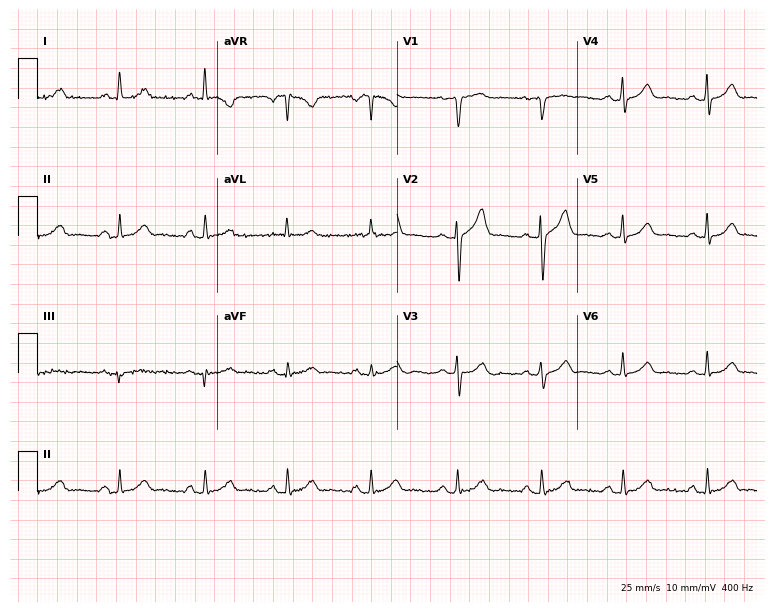
Resting 12-lead electrocardiogram. Patient: a woman, 54 years old. Read as a normal ECG.